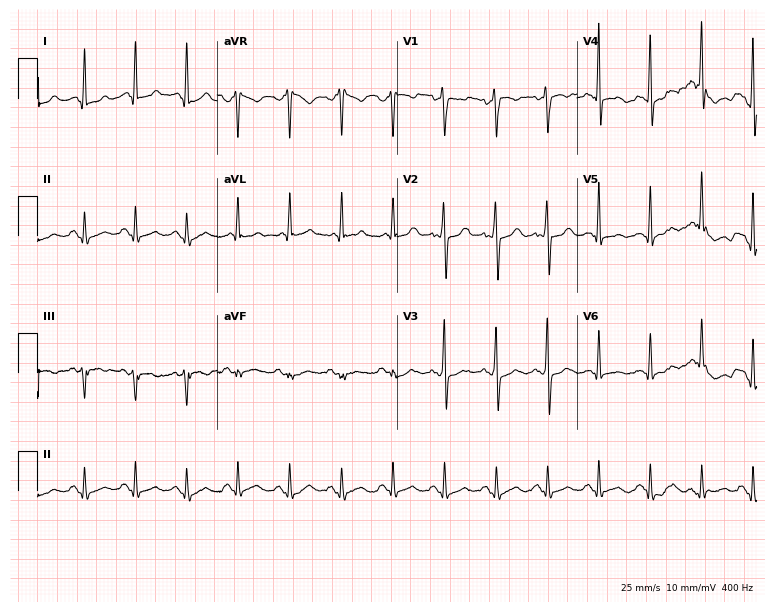
Standard 12-lead ECG recorded from a female, 20 years old (7.3-second recording at 400 Hz). The tracing shows sinus tachycardia (a sinus rate of 100 beats per minute or more).